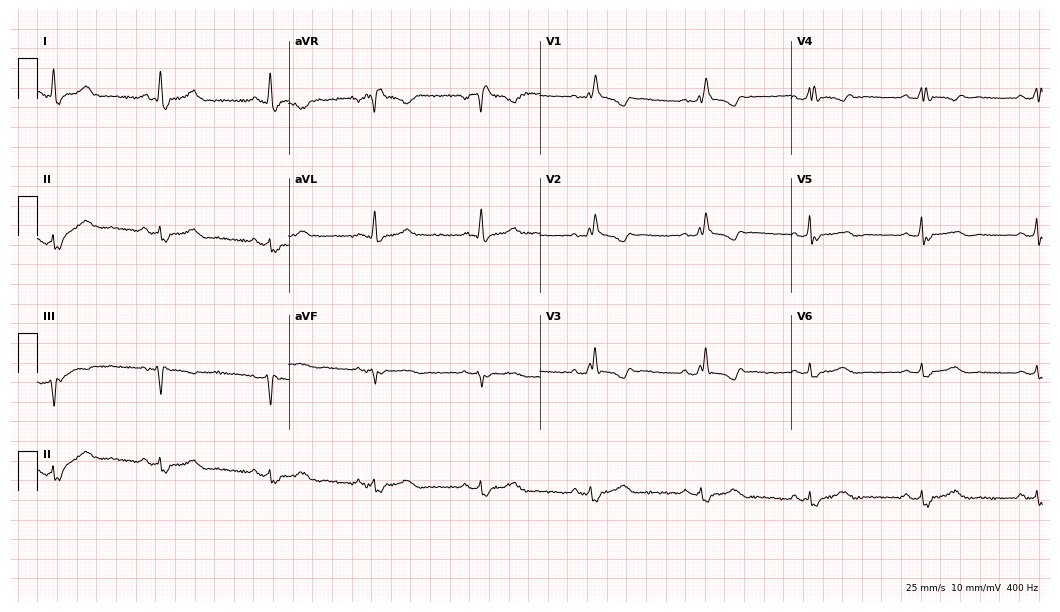
Electrocardiogram, a 59-year-old female. Interpretation includes right bundle branch block (RBBB).